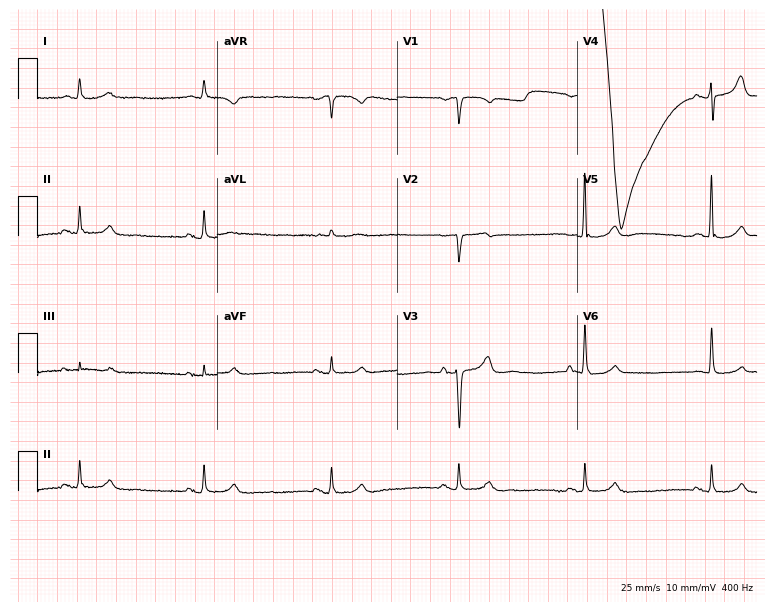
Resting 12-lead electrocardiogram. Patient: an 81-year-old male. The tracing shows sinus bradycardia (a sinus rate of 50 beats per minute or less).